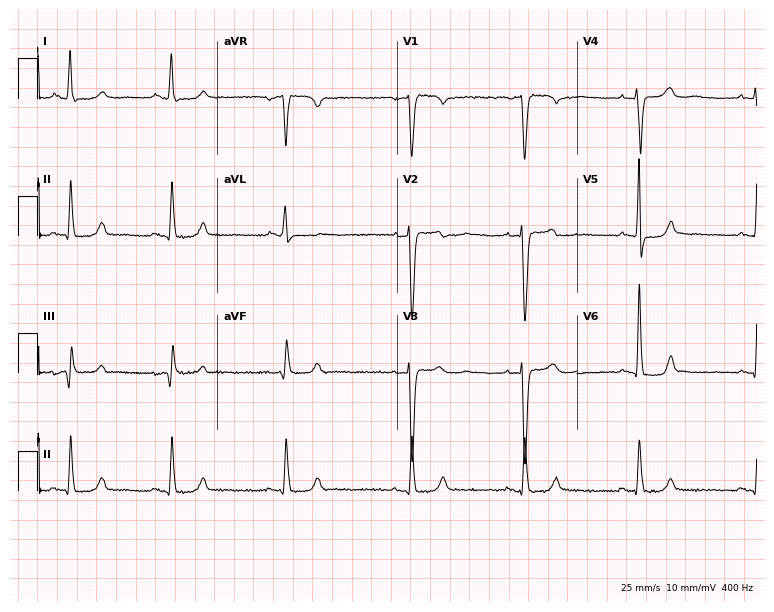
Standard 12-lead ECG recorded from a 34-year-old female (7.3-second recording at 400 Hz). Read as a normal ECG.